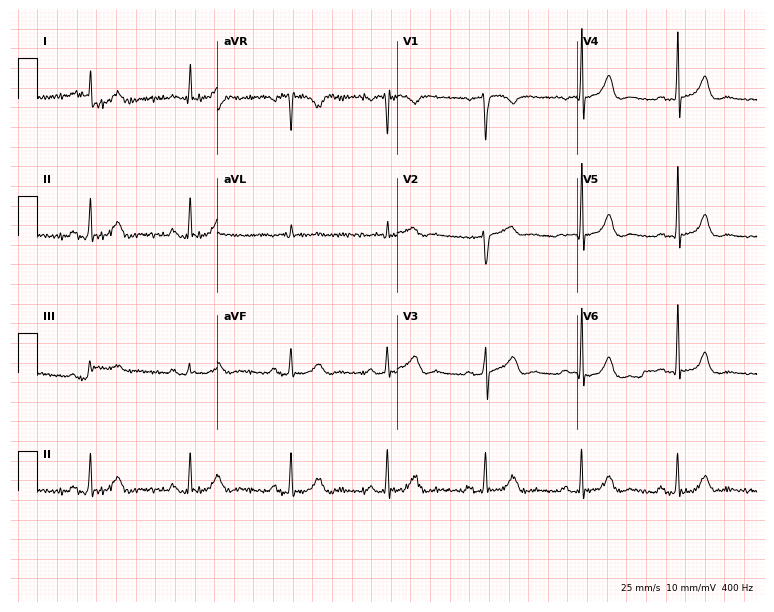
12-lead ECG from a 63-year-old male (7.3-second recording at 400 Hz). Recorded interpretation: within normal limits.